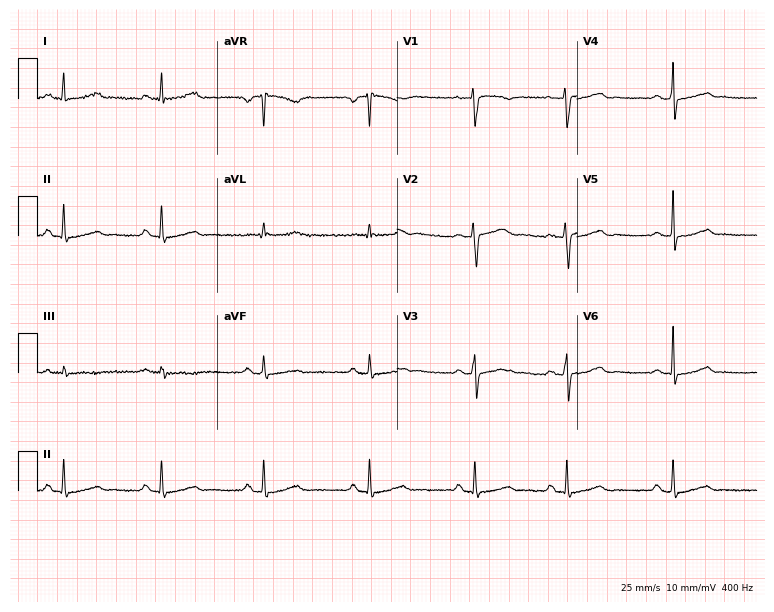
12-lead ECG from a female, 37 years old. Screened for six findings — first-degree AV block, right bundle branch block, left bundle branch block, sinus bradycardia, atrial fibrillation, sinus tachycardia — none is recorded. Other findings, if any, are not listed.